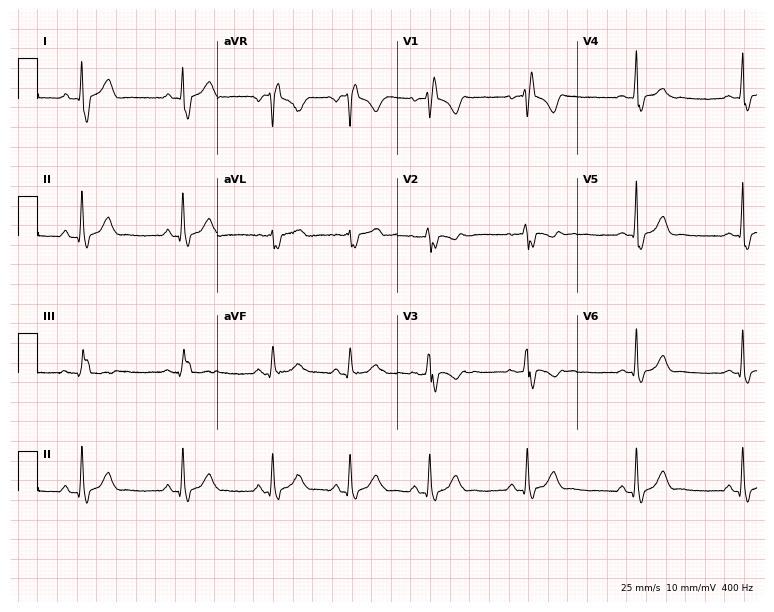
ECG — a 23-year-old female. Findings include right bundle branch block (RBBB).